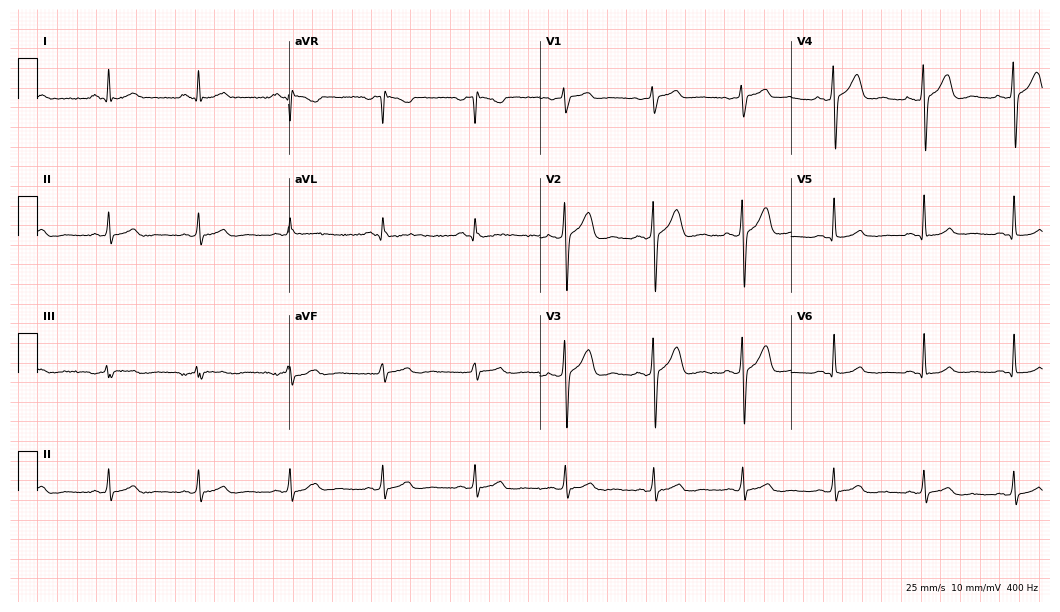
12-lead ECG from a male patient, 38 years old. Recorded interpretation: within normal limits.